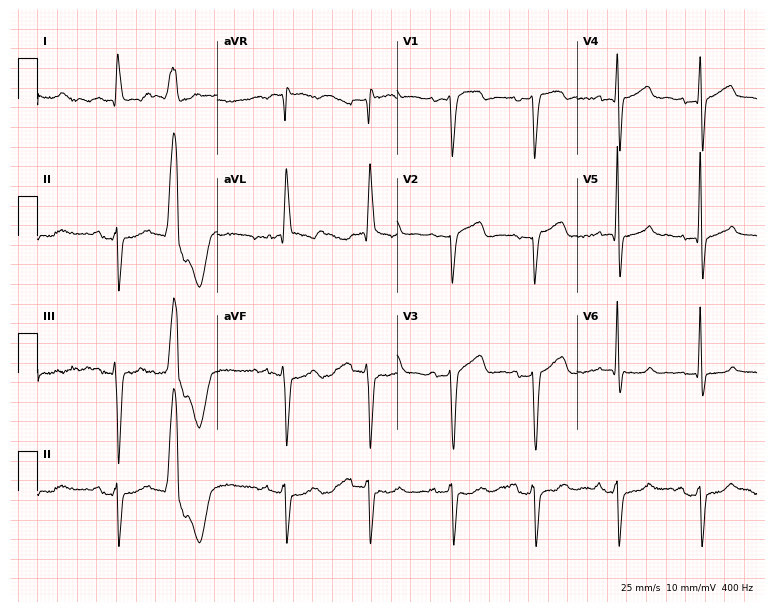
12-lead ECG from a male, 77 years old. Screened for six findings — first-degree AV block, right bundle branch block, left bundle branch block, sinus bradycardia, atrial fibrillation, sinus tachycardia — none is recorded. Other findings, if any, are not listed.